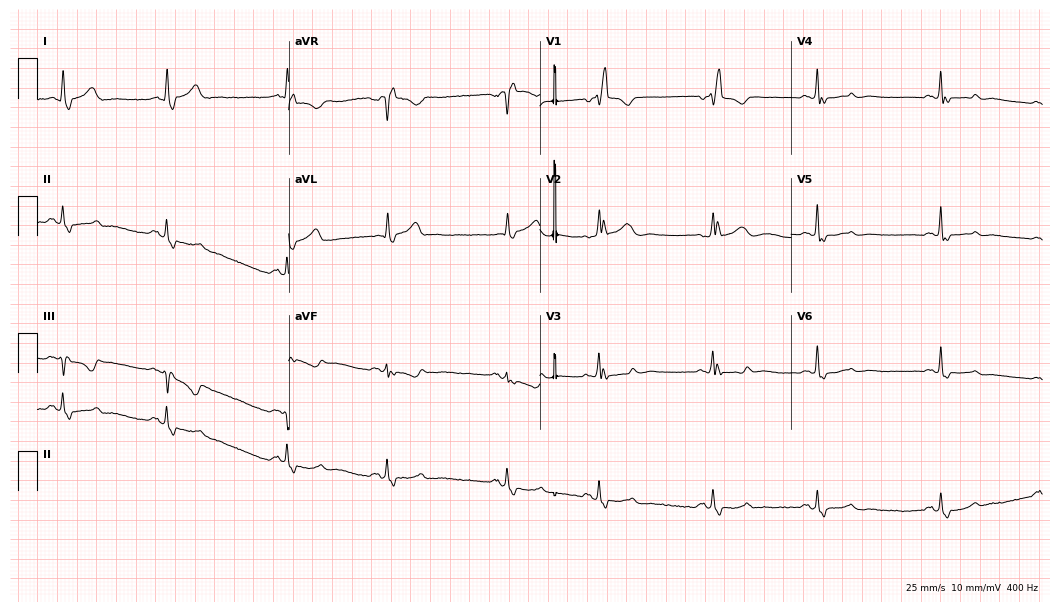
Resting 12-lead electrocardiogram. Patient: an 82-year-old female. None of these six findings is recorded: first-degree AV block, right bundle branch block, left bundle branch block, sinus bradycardia, atrial fibrillation, sinus tachycardia.